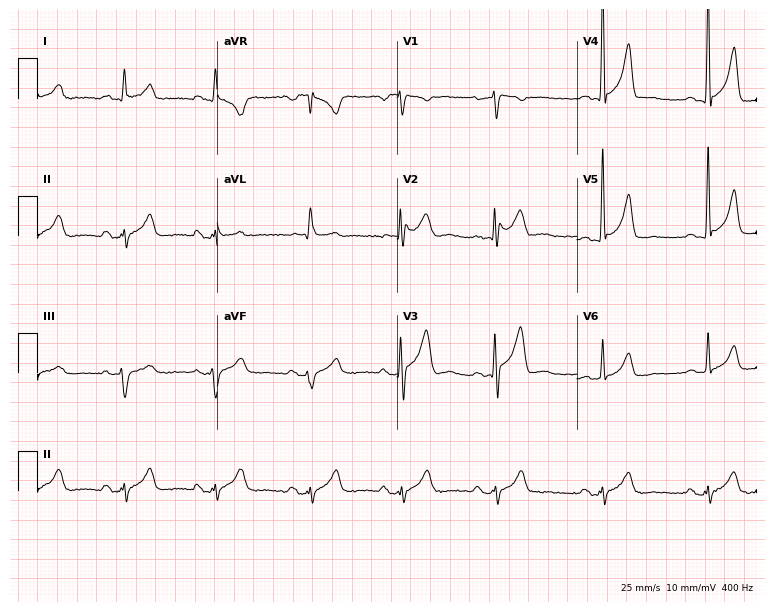
12-lead ECG from a 50-year-old male. Screened for six findings — first-degree AV block, right bundle branch block, left bundle branch block, sinus bradycardia, atrial fibrillation, sinus tachycardia — none is recorded.